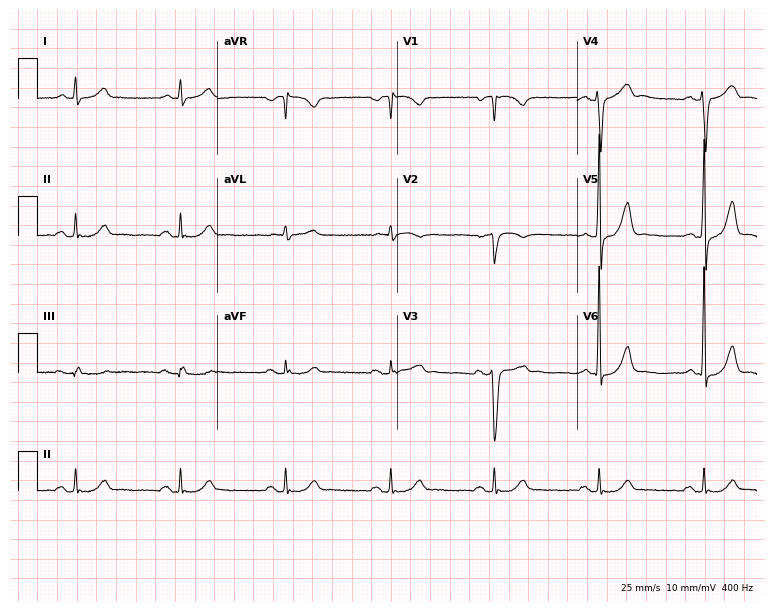
ECG (7.3-second recording at 400 Hz) — a male patient, 64 years old. Screened for six findings — first-degree AV block, right bundle branch block (RBBB), left bundle branch block (LBBB), sinus bradycardia, atrial fibrillation (AF), sinus tachycardia — none is recorded. Findings outside these six are not listed.